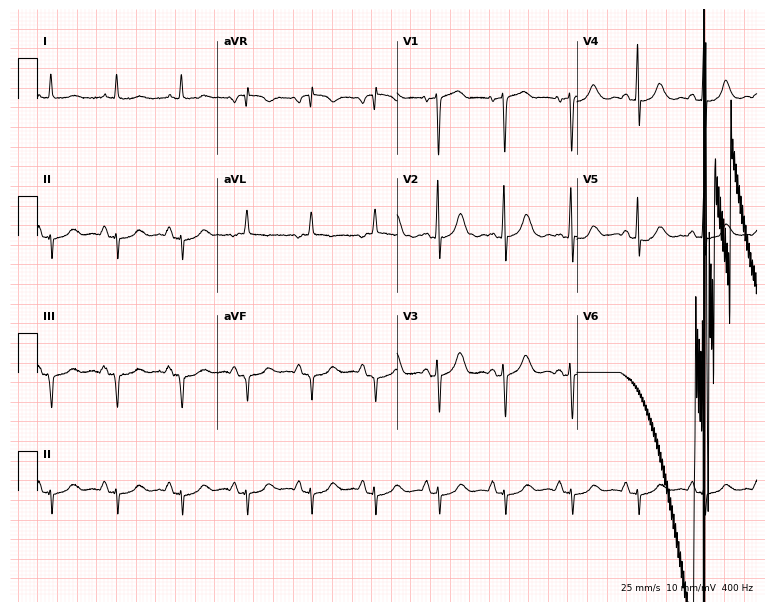
ECG (7.3-second recording at 400 Hz) — a 73-year-old female patient. Screened for six findings — first-degree AV block, right bundle branch block, left bundle branch block, sinus bradycardia, atrial fibrillation, sinus tachycardia — none is recorded. Other findings, if any, are not listed.